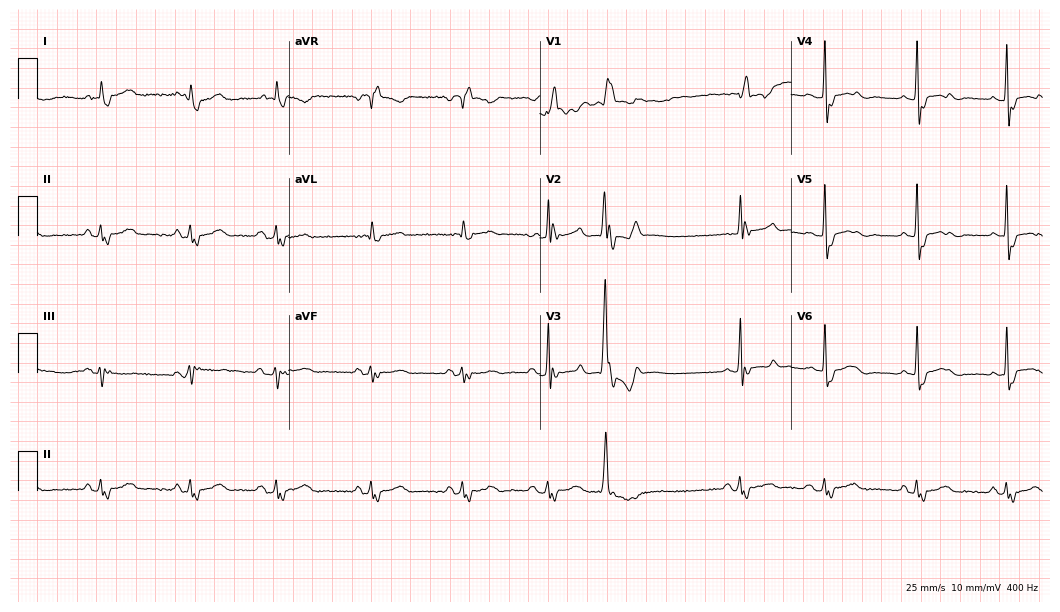
Resting 12-lead electrocardiogram (10.2-second recording at 400 Hz). Patient: an 85-year-old male. The tracing shows right bundle branch block.